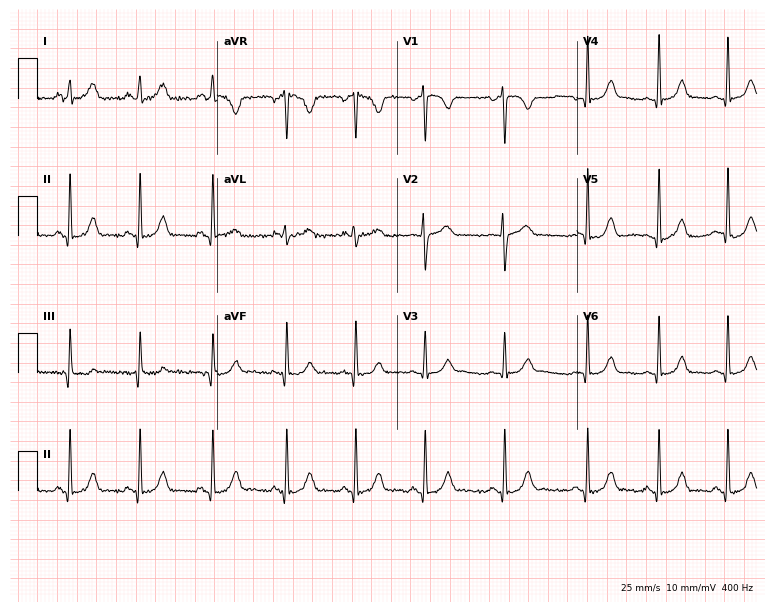
12-lead ECG from a 26-year-old female patient. Recorded interpretation: within normal limits.